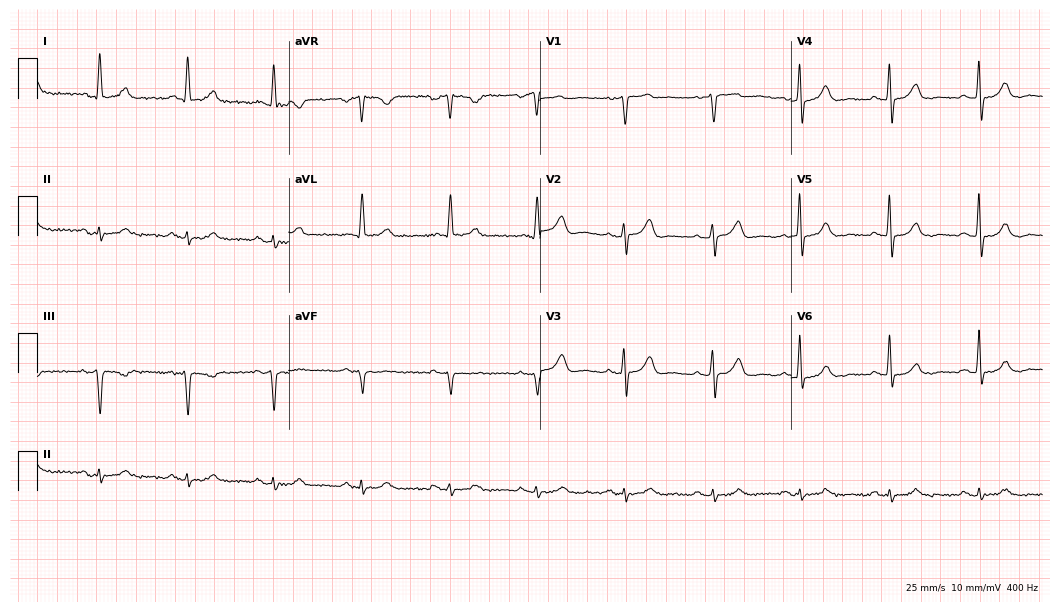
Standard 12-lead ECG recorded from a 67-year-old man (10.2-second recording at 400 Hz). None of these six findings is recorded: first-degree AV block, right bundle branch block (RBBB), left bundle branch block (LBBB), sinus bradycardia, atrial fibrillation (AF), sinus tachycardia.